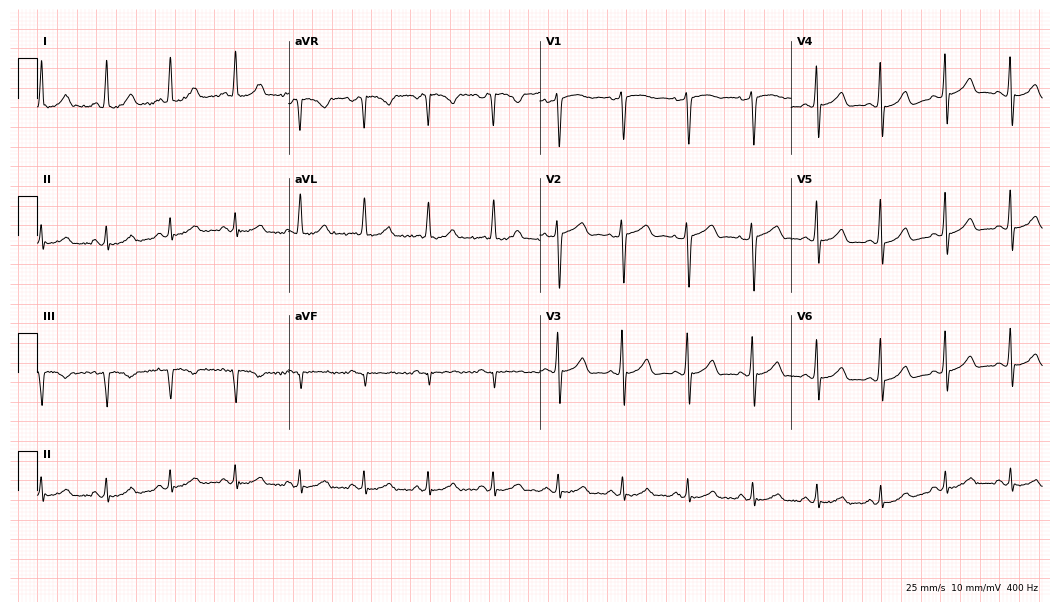
Standard 12-lead ECG recorded from a 47-year-old female patient (10.2-second recording at 400 Hz). None of these six findings is recorded: first-degree AV block, right bundle branch block, left bundle branch block, sinus bradycardia, atrial fibrillation, sinus tachycardia. Findings outside these six are not listed.